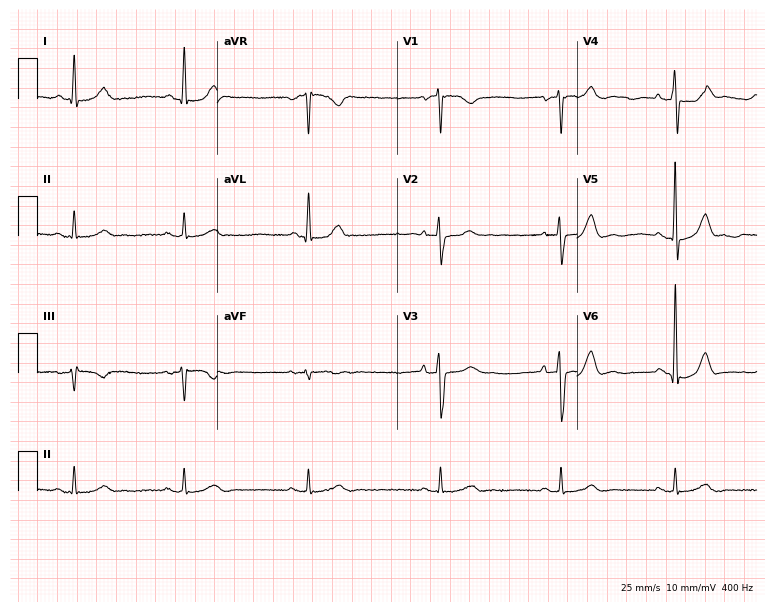
ECG (7.3-second recording at 400 Hz) — a 78-year-old male. Labelled as a normal ECG.